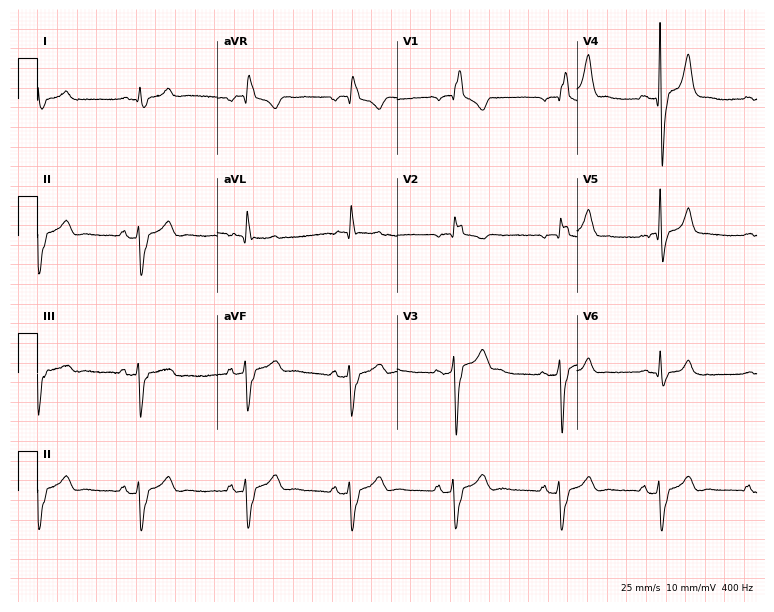
12-lead ECG from a 53-year-old man. Shows right bundle branch block.